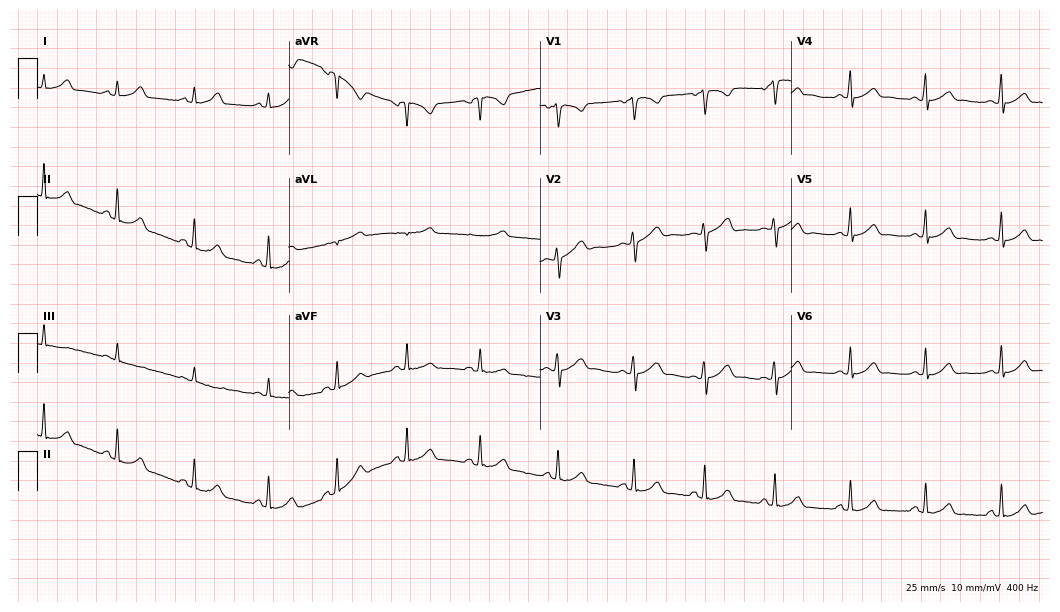
Standard 12-lead ECG recorded from a 20-year-old female patient (10.2-second recording at 400 Hz). Read as a normal ECG.